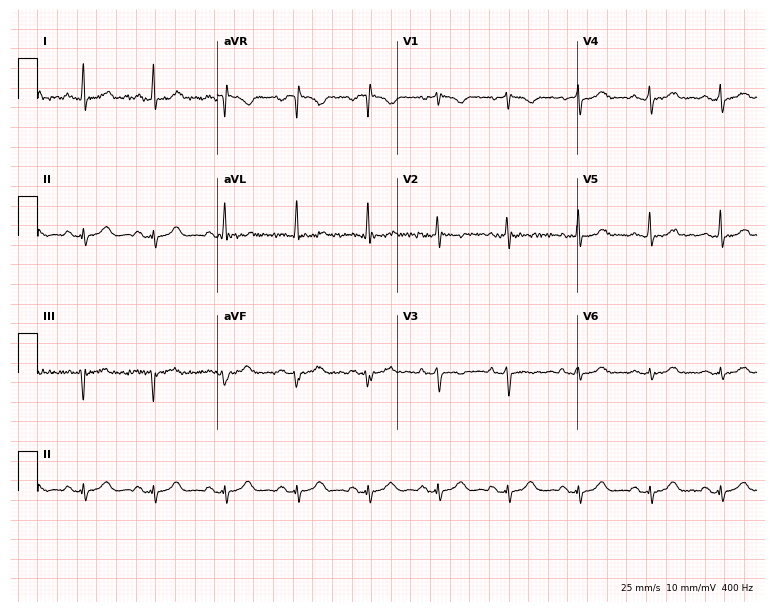
Electrocardiogram (7.3-second recording at 400 Hz), a 47-year-old female. Of the six screened findings (first-degree AV block, right bundle branch block, left bundle branch block, sinus bradycardia, atrial fibrillation, sinus tachycardia), none is recorded. Other findings, if any, are not listed.